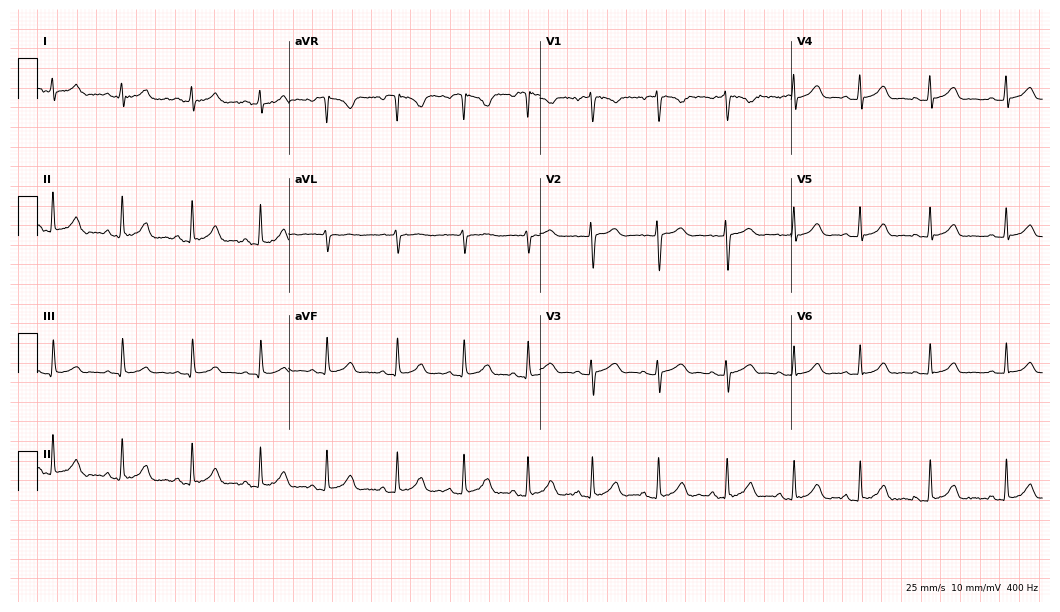
Resting 12-lead electrocardiogram (10.2-second recording at 400 Hz). Patient: a female, 18 years old. Read as a normal ECG.